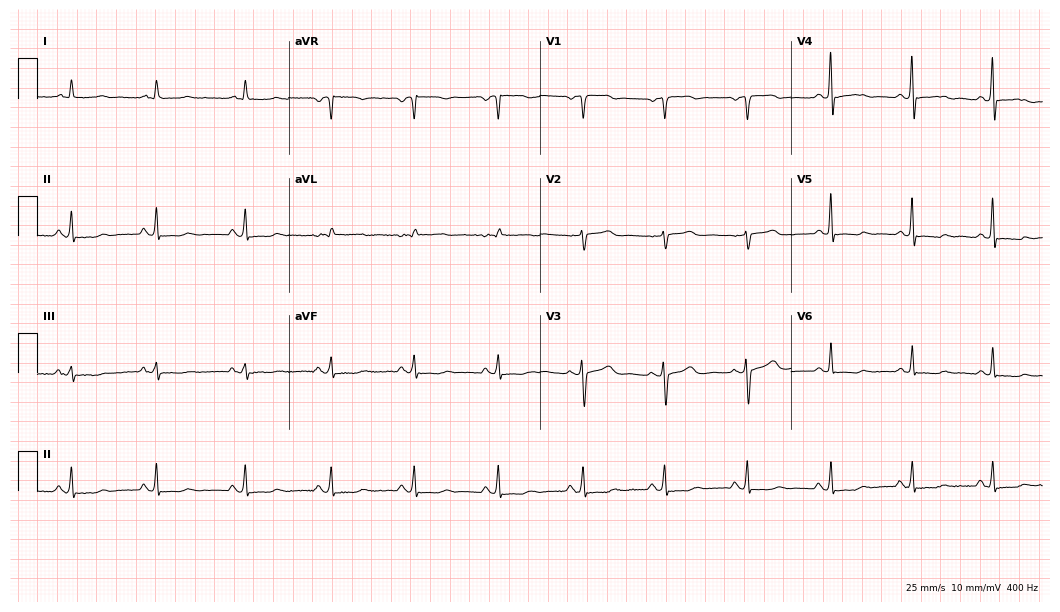
ECG (10.2-second recording at 400 Hz) — a woman, 60 years old. Screened for six findings — first-degree AV block, right bundle branch block, left bundle branch block, sinus bradycardia, atrial fibrillation, sinus tachycardia — none is recorded. Other findings, if any, are not listed.